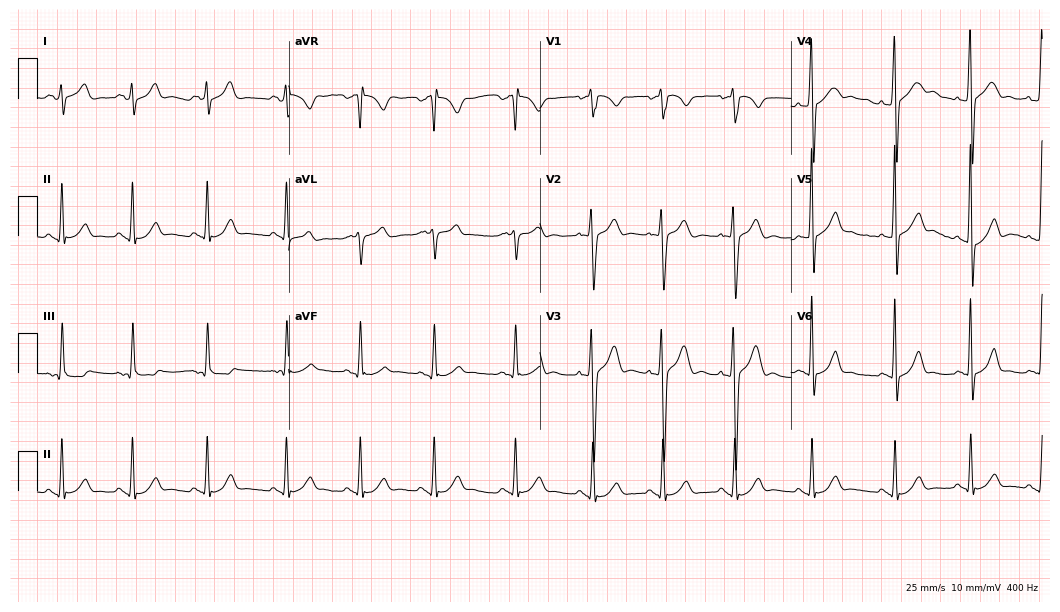
Electrocardiogram (10.2-second recording at 400 Hz), a 24-year-old male patient. Of the six screened findings (first-degree AV block, right bundle branch block, left bundle branch block, sinus bradycardia, atrial fibrillation, sinus tachycardia), none is recorded. Findings outside these six are not listed.